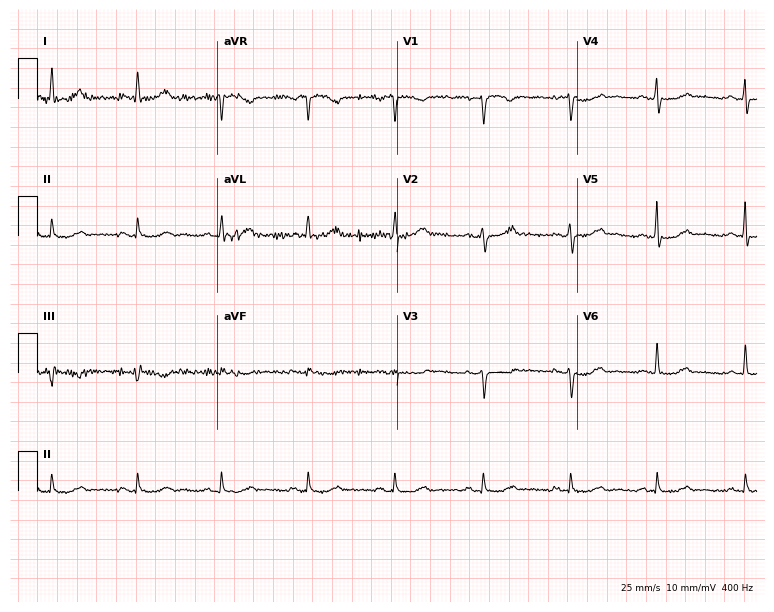
Electrocardiogram, a 65-year-old woman. Overall reading on record: normal ECG.